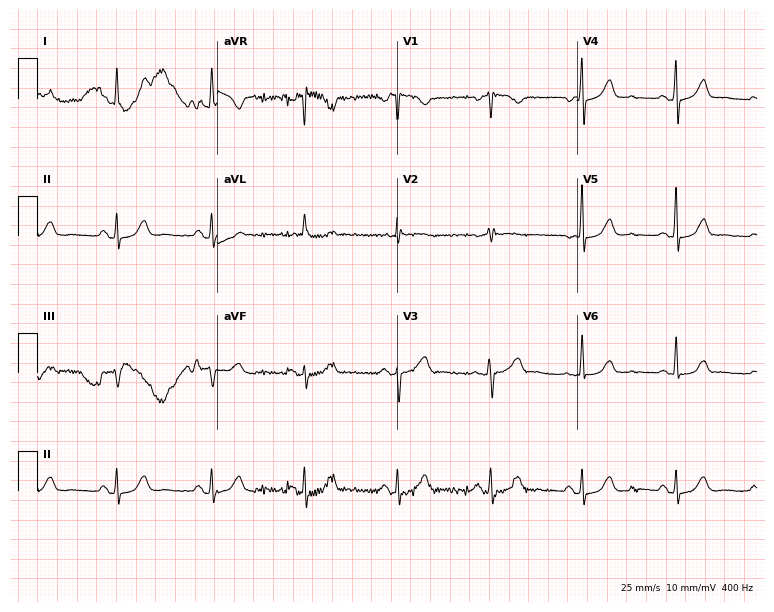
12-lead ECG from a 62-year-old female patient. Screened for six findings — first-degree AV block, right bundle branch block, left bundle branch block, sinus bradycardia, atrial fibrillation, sinus tachycardia — none is recorded.